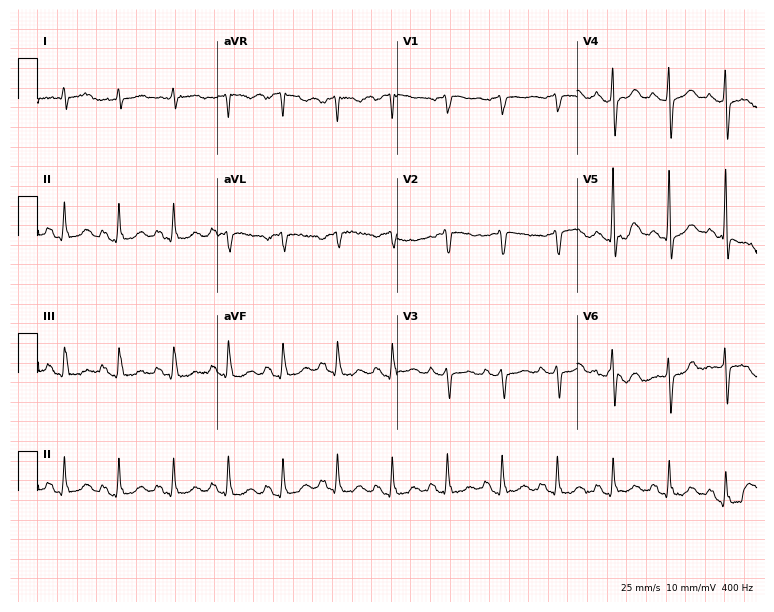
Standard 12-lead ECG recorded from a 68-year-old woman. The tracing shows sinus tachycardia (a sinus rate of 100 beats per minute or more).